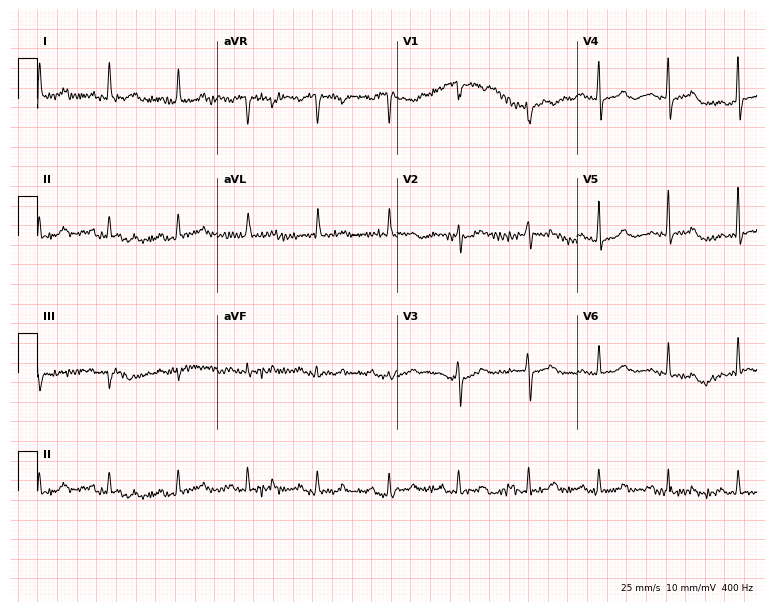
Standard 12-lead ECG recorded from a 76-year-old woman. None of these six findings is recorded: first-degree AV block, right bundle branch block (RBBB), left bundle branch block (LBBB), sinus bradycardia, atrial fibrillation (AF), sinus tachycardia. Findings outside these six are not listed.